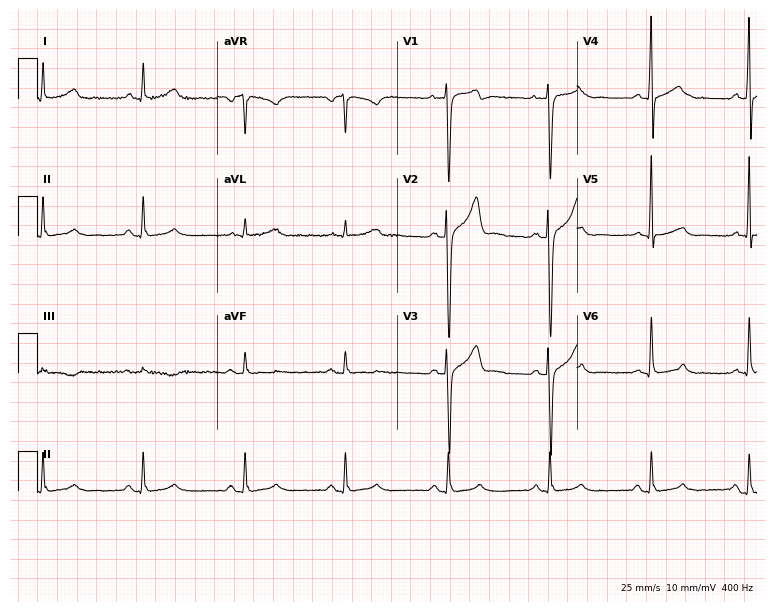
ECG (7.3-second recording at 400 Hz) — a male, 34 years old. Screened for six findings — first-degree AV block, right bundle branch block, left bundle branch block, sinus bradycardia, atrial fibrillation, sinus tachycardia — none is recorded.